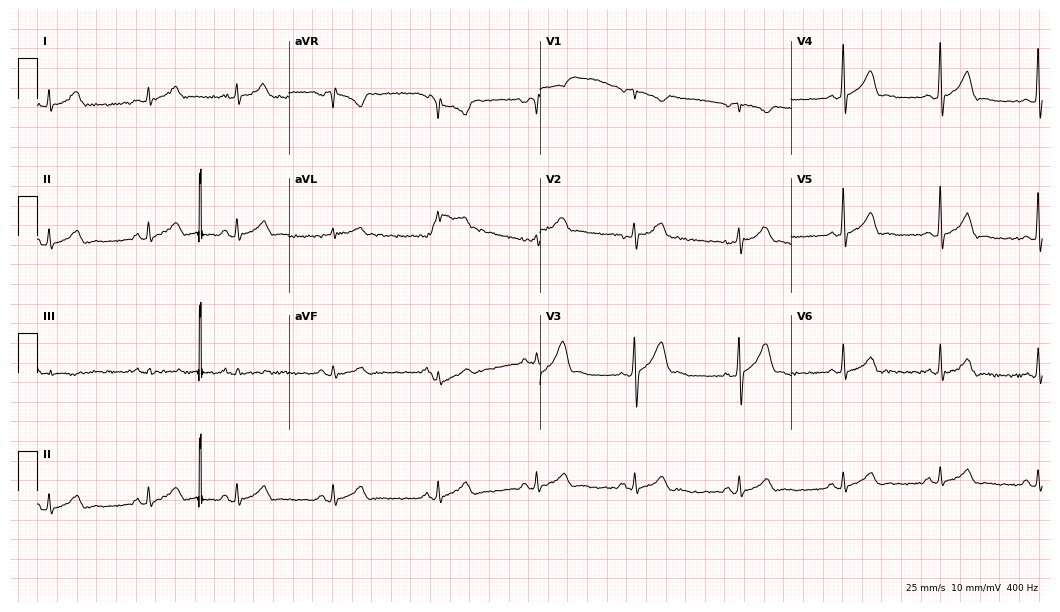
12-lead ECG from a male patient, 33 years old. Labelled as a normal ECG.